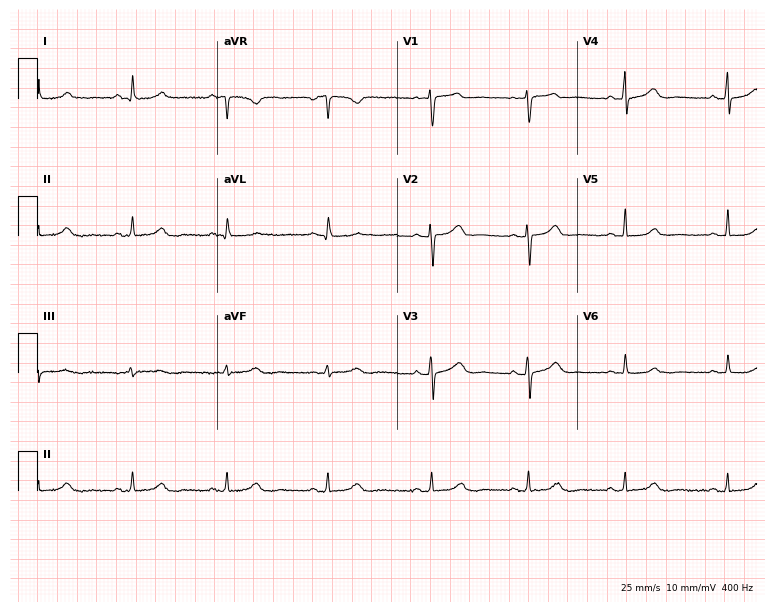
Standard 12-lead ECG recorded from a 53-year-old female. None of these six findings is recorded: first-degree AV block, right bundle branch block, left bundle branch block, sinus bradycardia, atrial fibrillation, sinus tachycardia. Only these six findings were labelled.